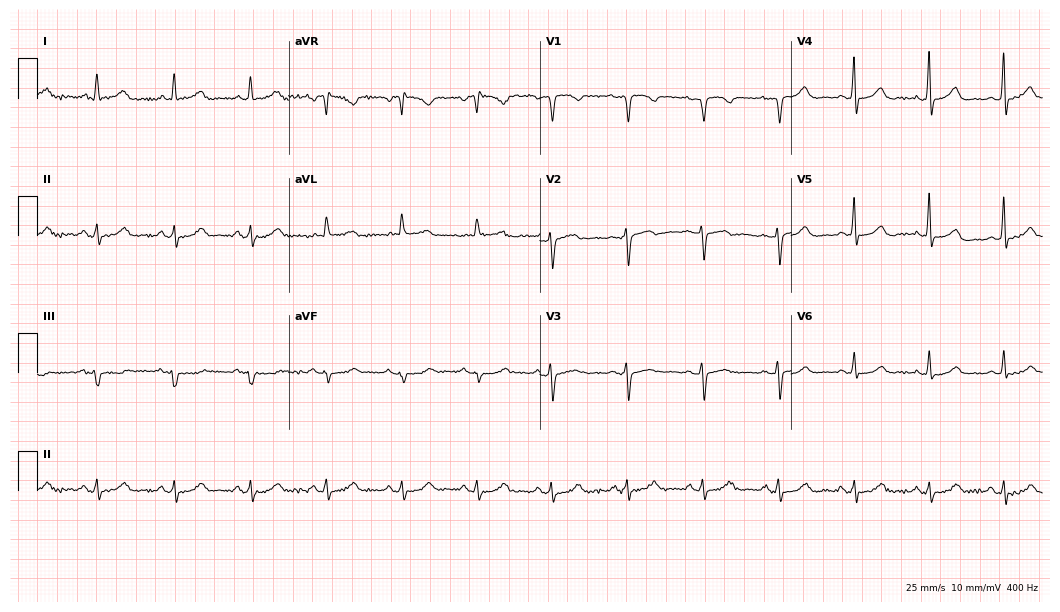
ECG — a female, 70 years old. Labelled as a normal ECG.